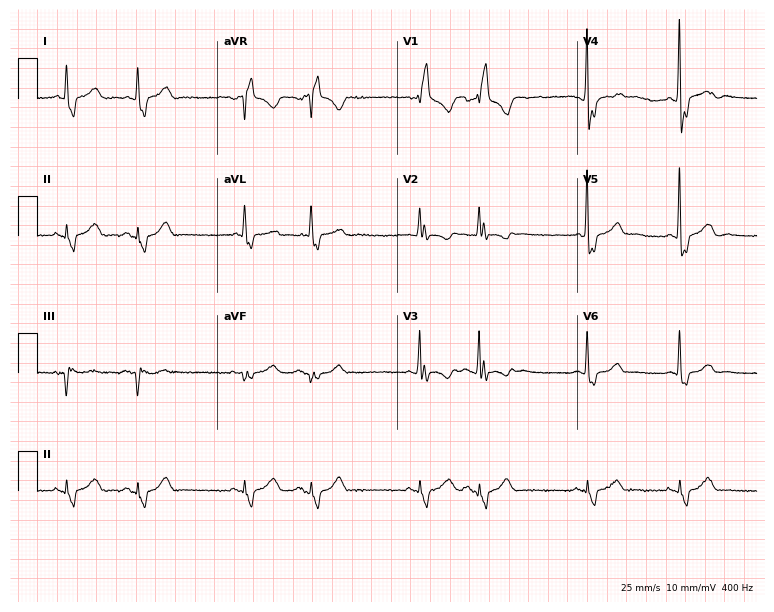
ECG (7.3-second recording at 400 Hz) — a female, 80 years old. Findings include right bundle branch block.